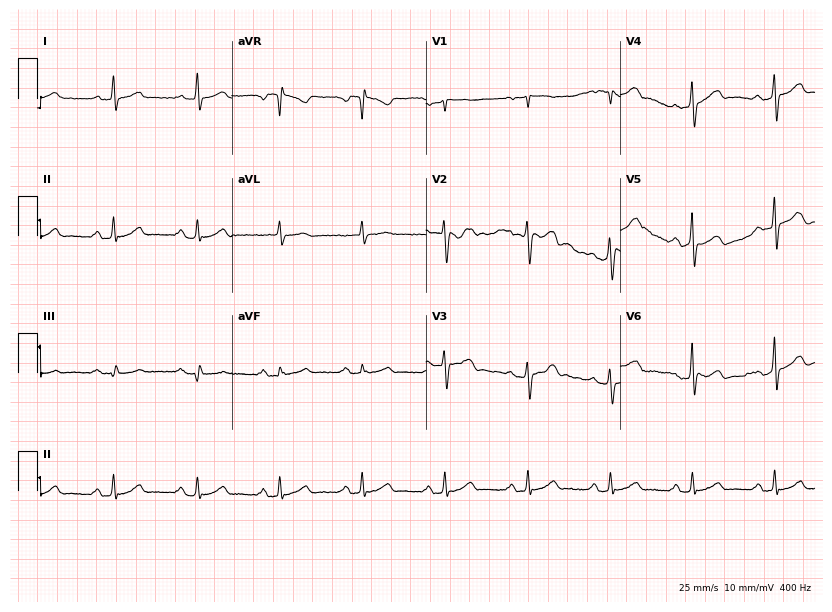
Electrocardiogram, a 65-year-old male patient. Overall reading on record: normal ECG.